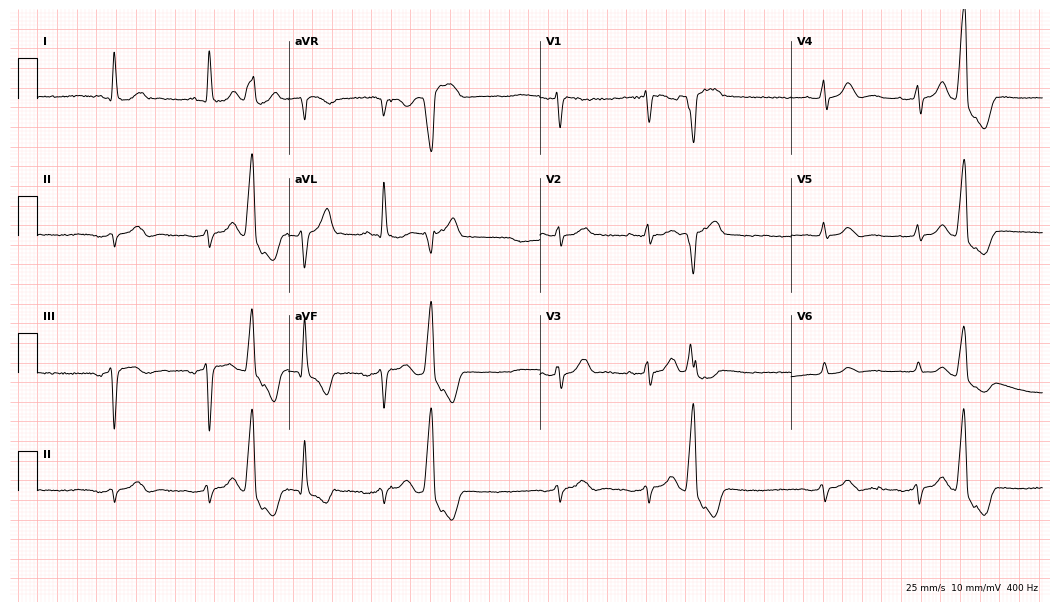
12-lead ECG (10.2-second recording at 400 Hz) from a 79-year-old female patient. Screened for six findings — first-degree AV block, right bundle branch block, left bundle branch block, sinus bradycardia, atrial fibrillation, sinus tachycardia — none is recorded. Other findings, if any, are not listed.